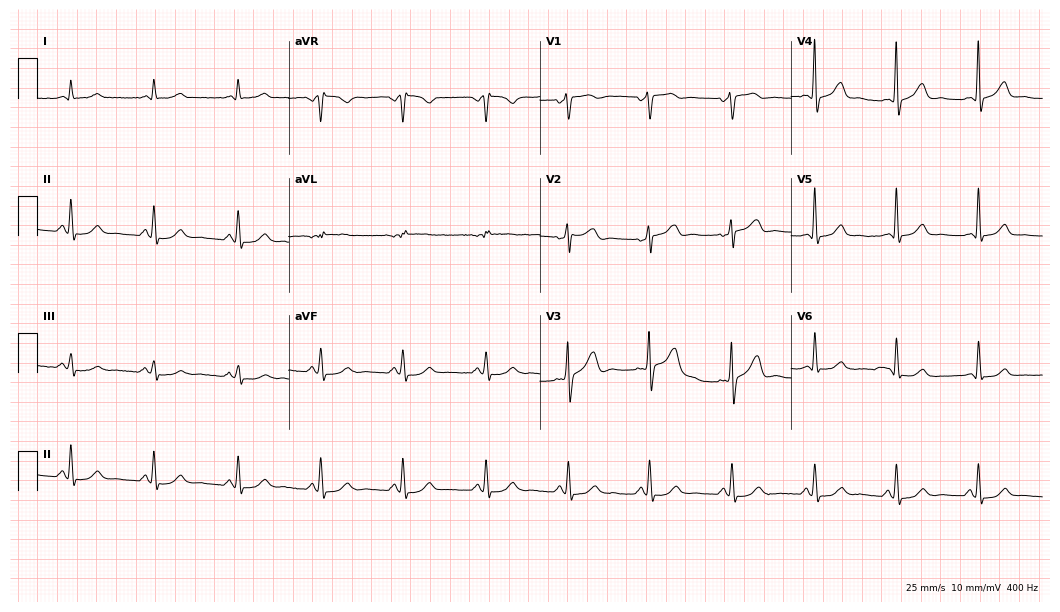
Resting 12-lead electrocardiogram (10.2-second recording at 400 Hz). Patient: a male, 68 years old. None of these six findings is recorded: first-degree AV block, right bundle branch block (RBBB), left bundle branch block (LBBB), sinus bradycardia, atrial fibrillation (AF), sinus tachycardia.